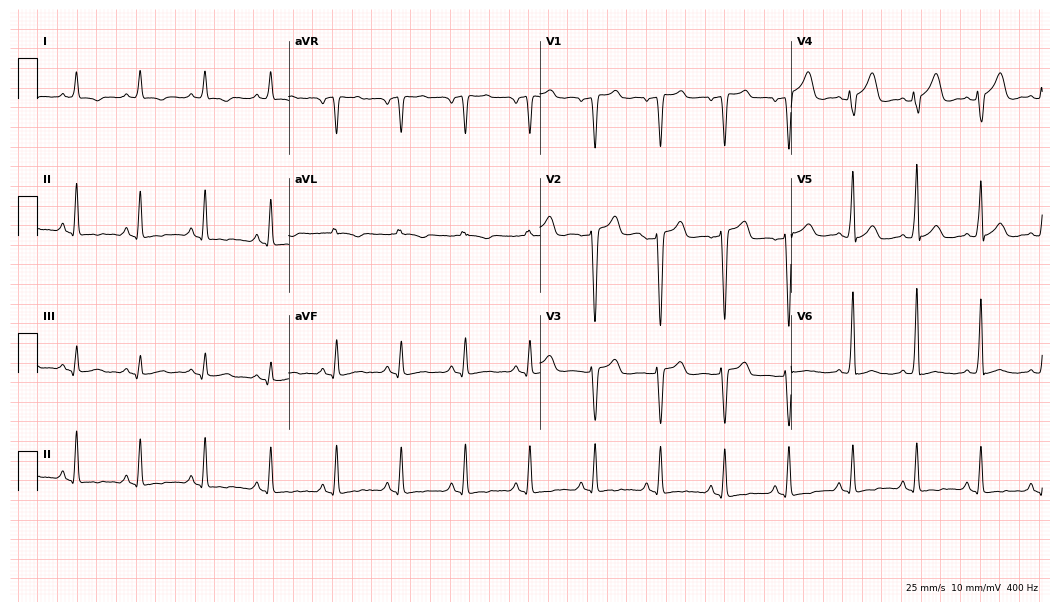
12-lead ECG from a male patient, 40 years old (10.2-second recording at 400 Hz). No first-degree AV block, right bundle branch block (RBBB), left bundle branch block (LBBB), sinus bradycardia, atrial fibrillation (AF) or sinus tachycardia recorded for this tracing.